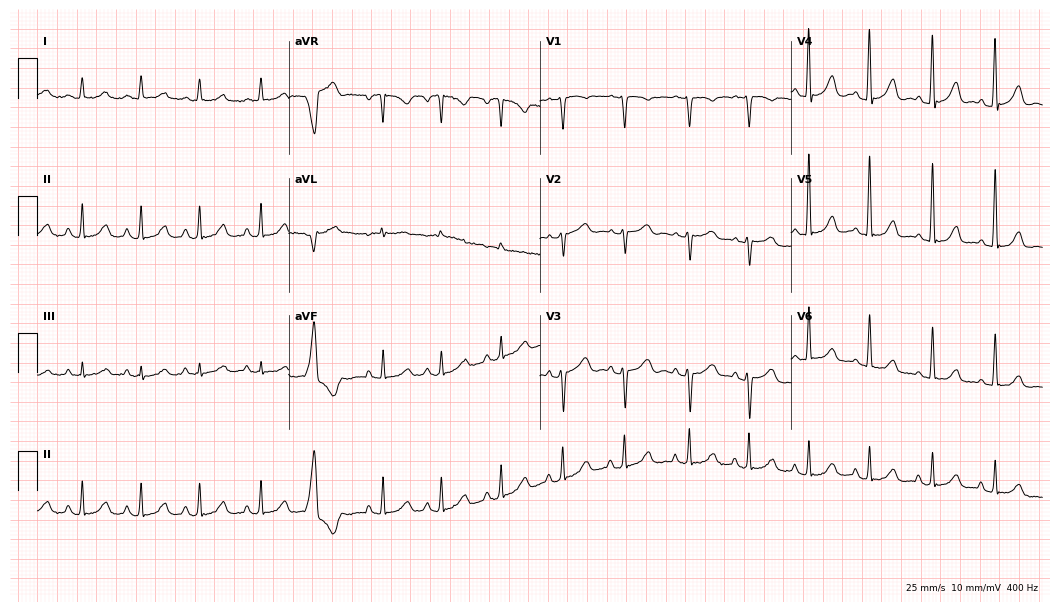
12-lead ECG from a 45-year-old woman (10.2-second recording at 400 Hz). Recorded interpretation: within normal limits.